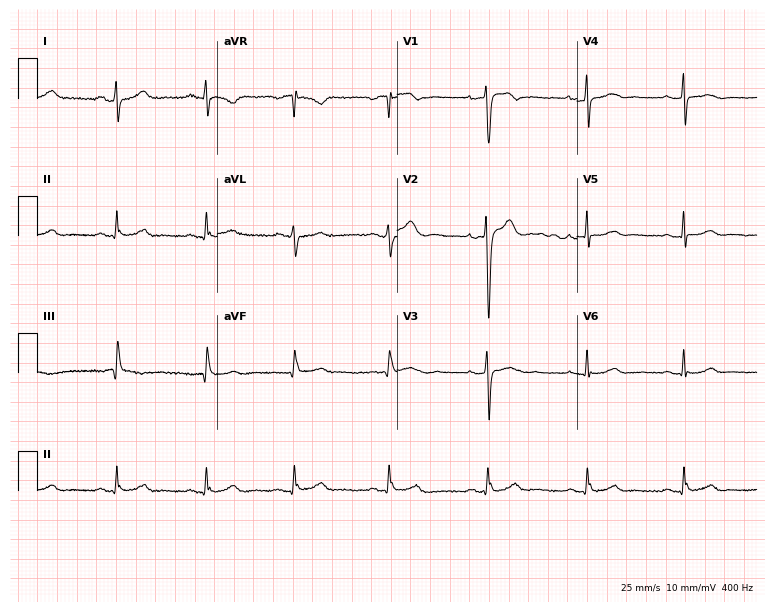
12-lead ECG from a 42-year-old woman. No first-degree AV block, right bundle branch block (RBBB), left bundle branch block (LBBB), sinus bradycardia, atrial fibrillation (AF) or sinus tachycardia recorded for this tracing. Other findings, if any, are not listed.